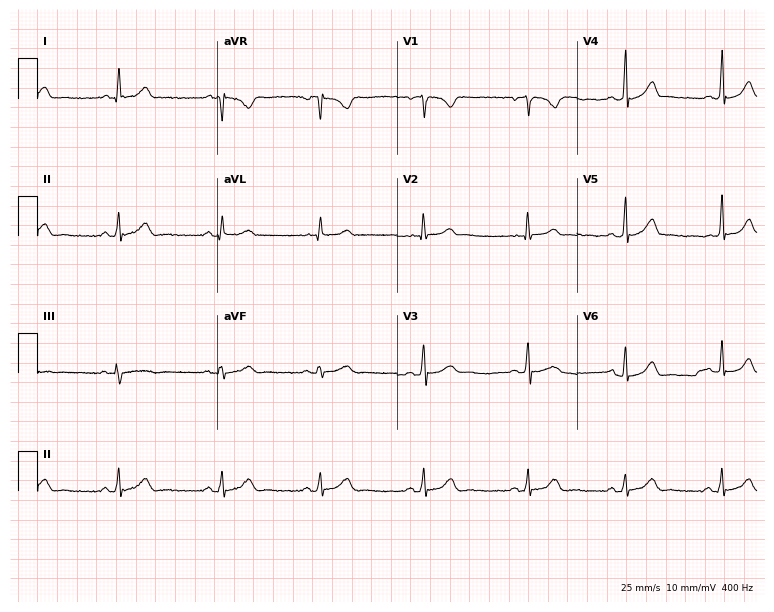
ECG (7.3-second recording at 400 Hz) — a woman, 31 years old. Labelled as a normal ECG.